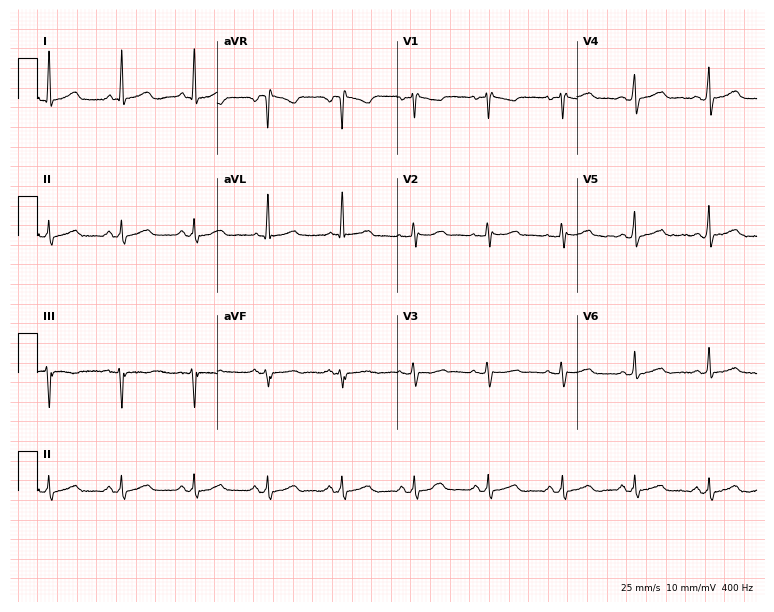
12-lead ECG from a female, 53 years old. Labelled as a normal ECG.